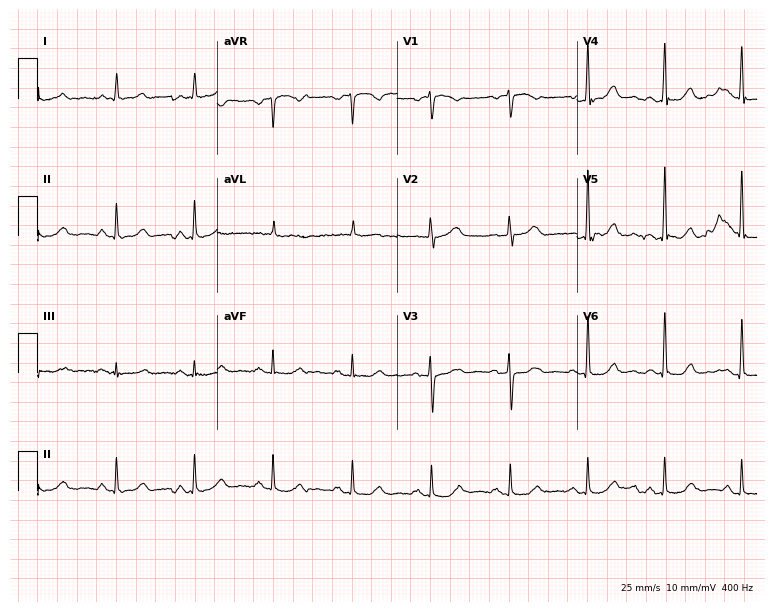
Standard 12-lead ECG recorded from a female patient, 74 years old. Read as a normal ECG.